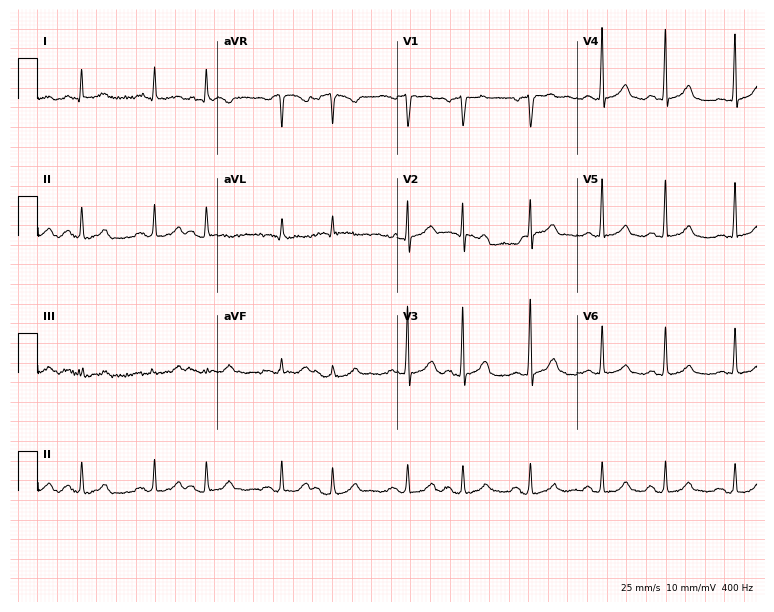
ECG — a male patient, 64 years old. Labelled as a normal ECG.